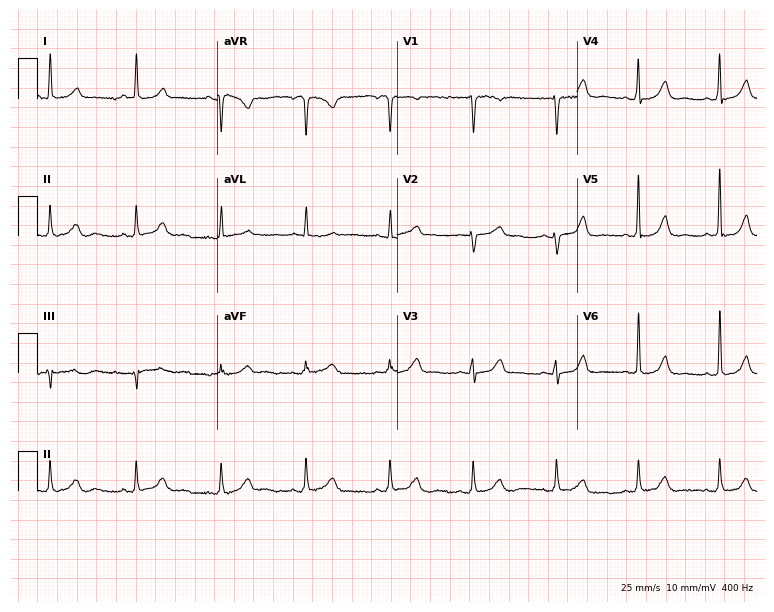
12-lead ECG from a female patient, 61 years old (7.3-second recording at 400 Hz). No first-degree AV block, right bundle branch block, left bundle branch block, sinus bradycardia, atrial fibrillation or sinus tachycardia recorded for this tracing. Other findings, if any, are not listed.